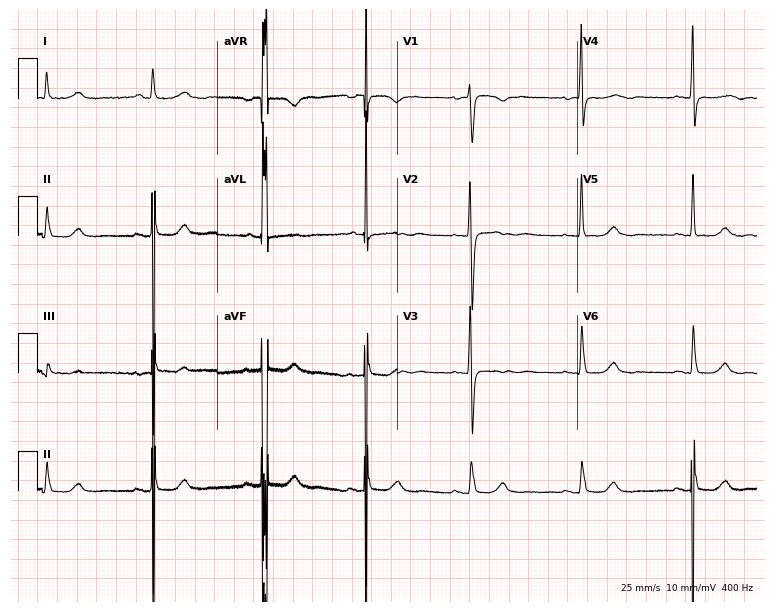
Electrocardiogram, a 52-year-old woman. Of the six screened findings (first-degree AV block, right bundle branch block (RBBB), left bundle branch block (LBBB), sinus bradycardia, atrial fibrillation (AF), sinus tachycardia), none is recorded.